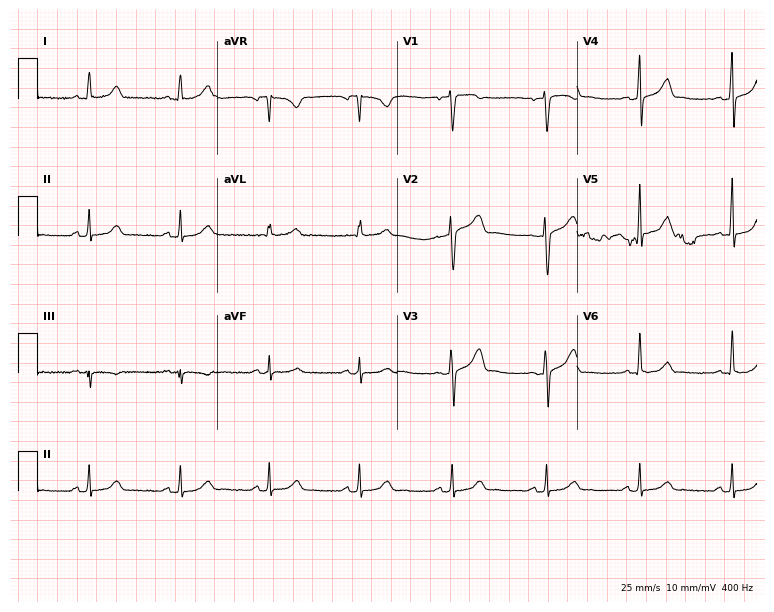
Resting 12-lead electrocardiogram. Patient: a 52-year-old woman. Read as a normal ECG.